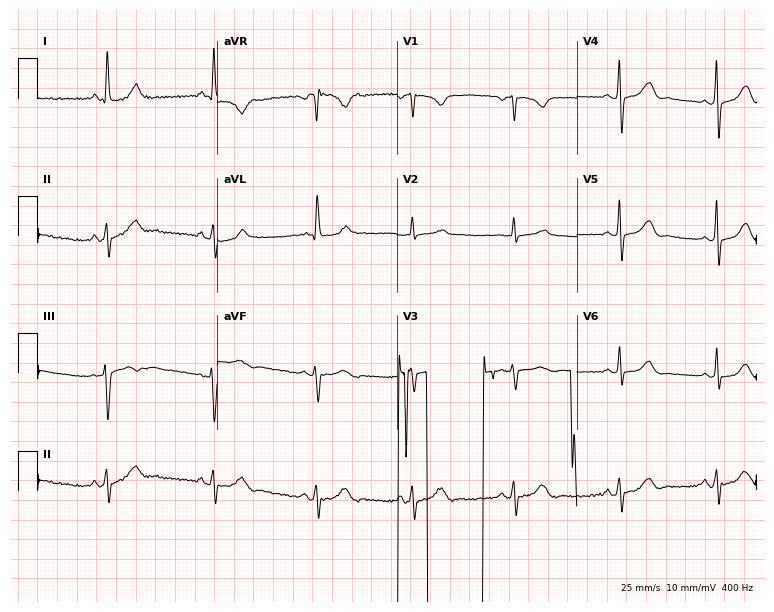
ECG — a woman, 63 years old. Screened for six findings — first-degree AV block, right bundle branch block (RBBB), left bundle branch block (LBBB), sinus bradycardia, atrial fibrillation (AF), sinus tachycardia — none is recorded.